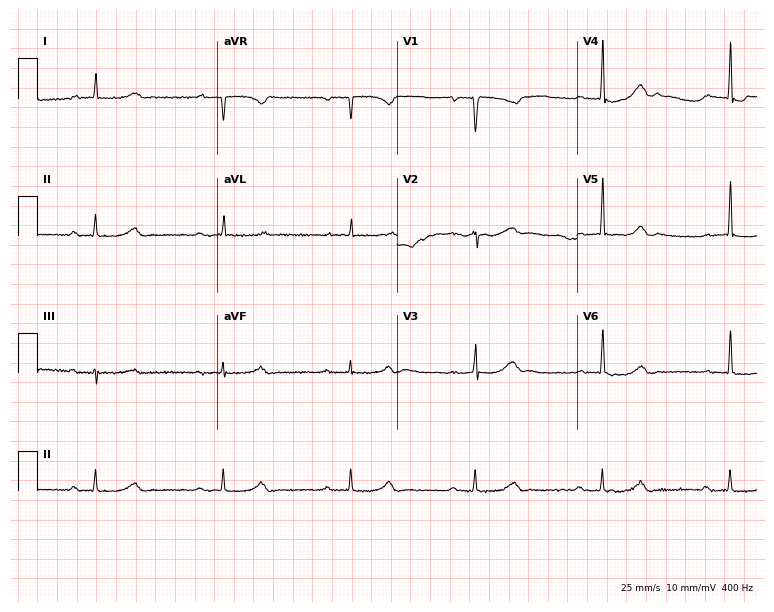
12-lead ECG from a 78-year-old female. Shows first-degree AV block, sinus bradycardia (a sinus rate of 50 beats per minute or less).